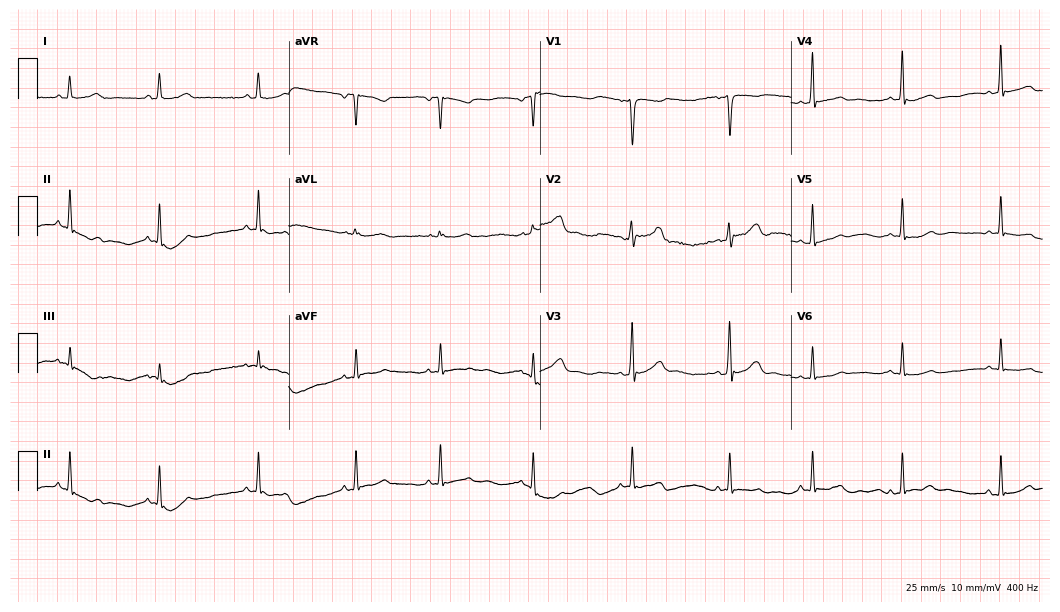
Standard 12-lead ECG recorded from a woman, 38 years old. None of these six findings is recorded: first-degree AV block, right bundle branch block (RBBB), left bundle branch block (LBBB), sinus bradycardia, atrial fibrillation (AF), sinus tachycardia. Findings outside these six are not listed.